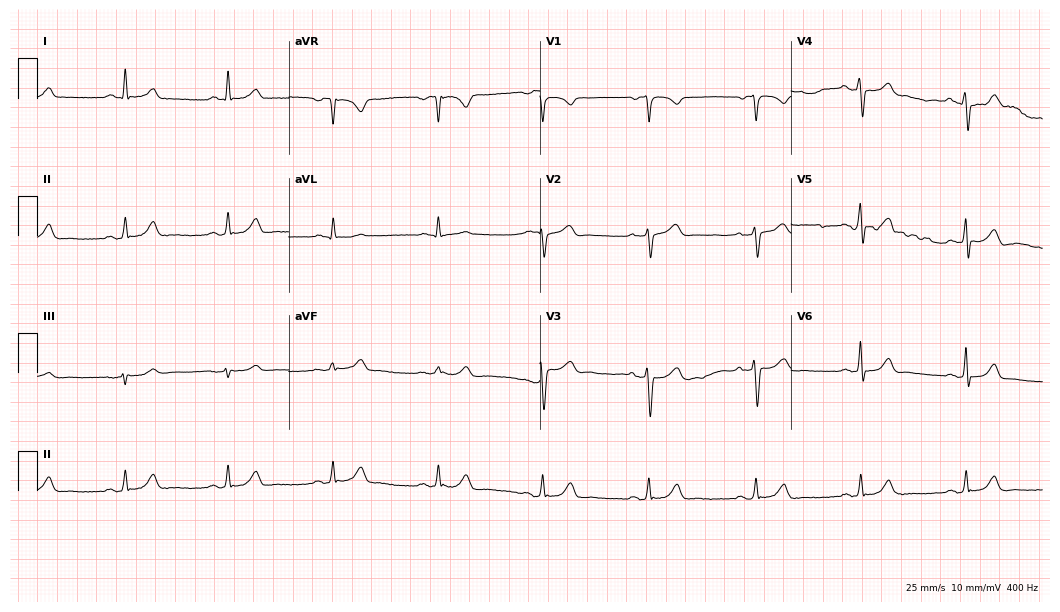
Standard 12-lead ECG recorded from a male patient, 67 years old. Read as a normal ECG.